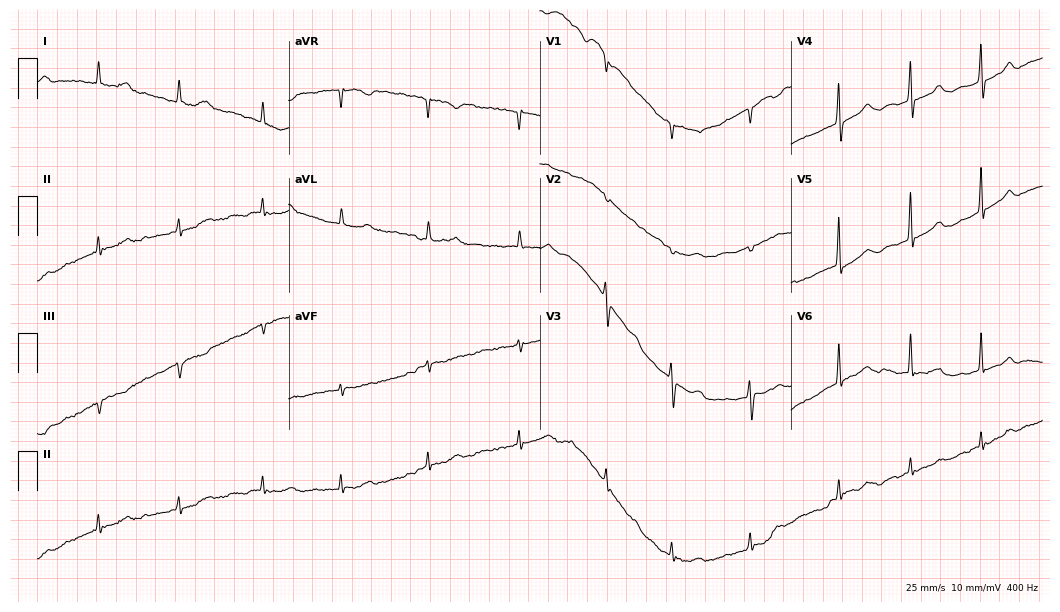
12-lead ECG (10.2-second recording at 400 Hz) from a female patient, 74 years old. Findings include atrial fibrillation.